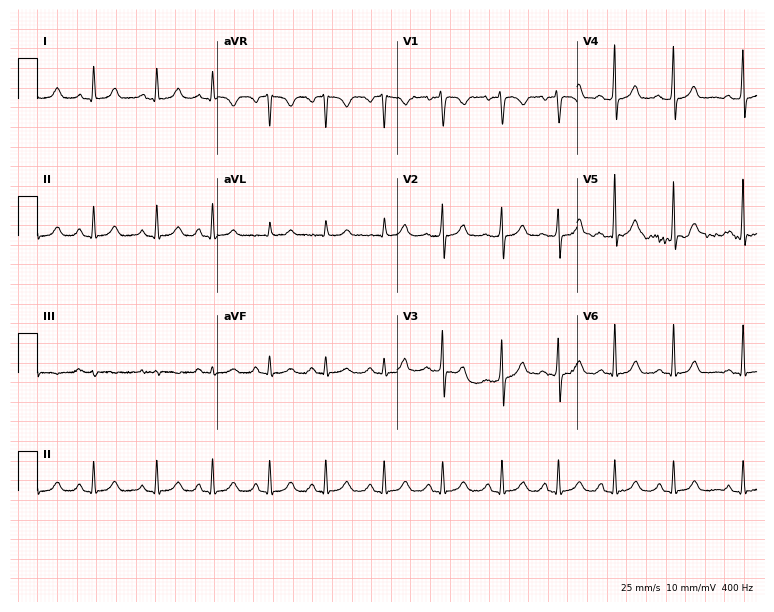
12-lead ECG (7.3-second recording at 400 Hz) from a 23-year-old male. Labelled as a normal ECG.